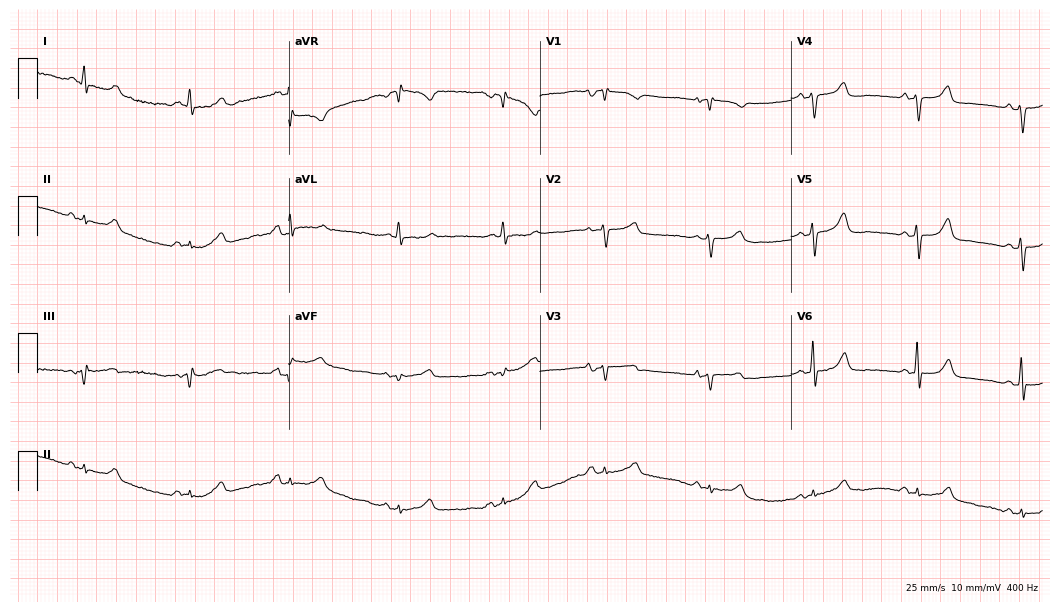
12-lead ECG from a 79-year-old woman (10.2-second recording at 400 Hz). Recorded interpretation: within normal limits.